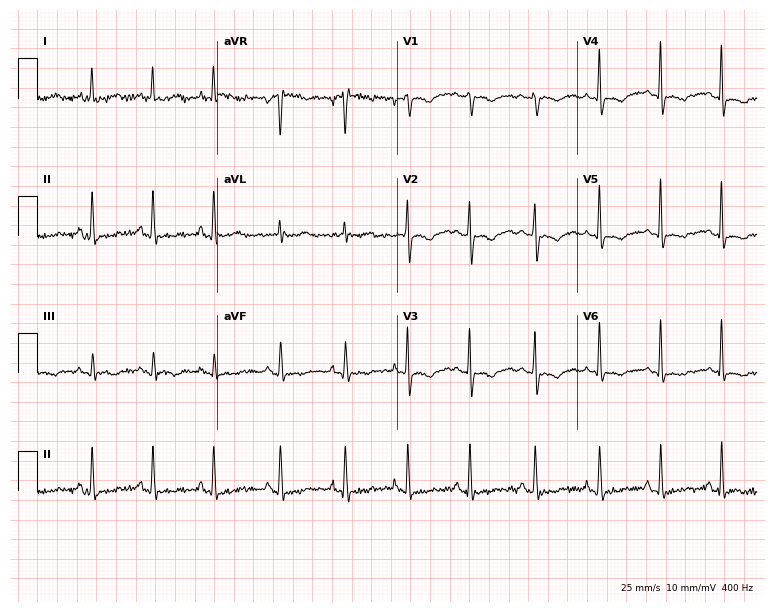
Electrocardiogram, a female patient, 46 years old. Of the six screened findings (first-degree AV block, right bundle branch block, left bundle branch block, sinus bradycardia, atrial fibrillation, sinus tachycardia), none is recorded.